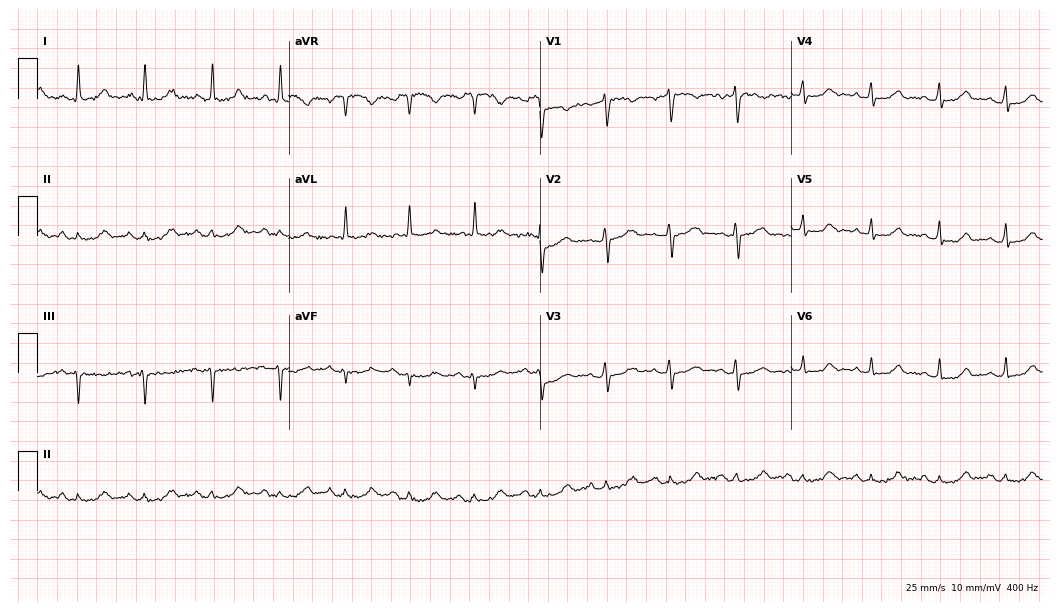
12-lead ECG (10.2-second recording at 400 Hz) from a woman, 42 years old. Labelled as a normal ECG.